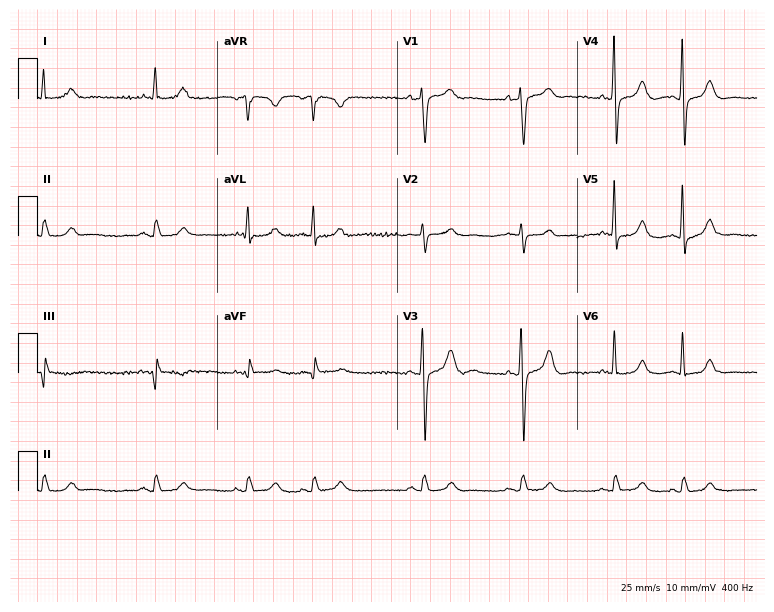
Standard 12-lead ECG recorded from a man, 82 years old. Read as a normal ECG.